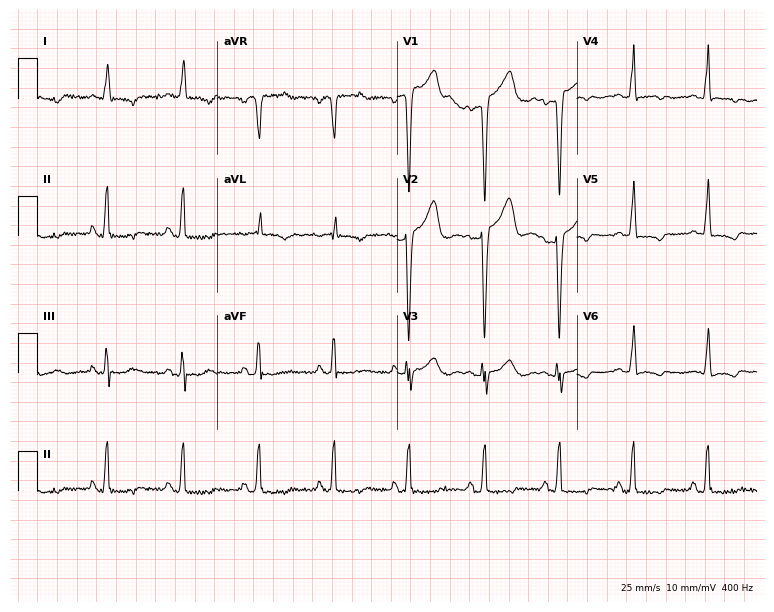
12-lead ECG from a 79-year-old female. Screened for six findings — first-degree AV block, right bundle branch block (RBBB), left bundle branch block (LBBB), sinus bradycardia, atrial fibrillation (AF), sinus tachycardia — none is recorded.